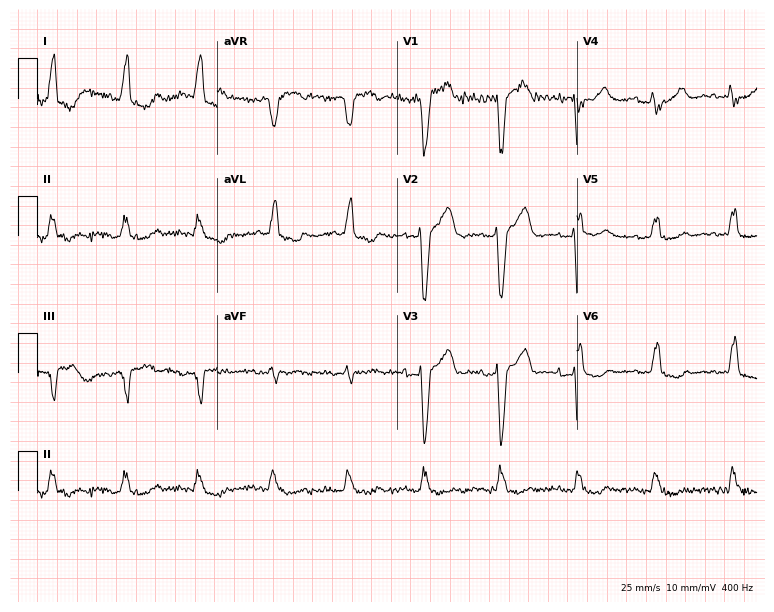
12-lead ECG (7.3-second recording at 400 Hz) from an 81-year-old man. Findings include left bundle branch block.